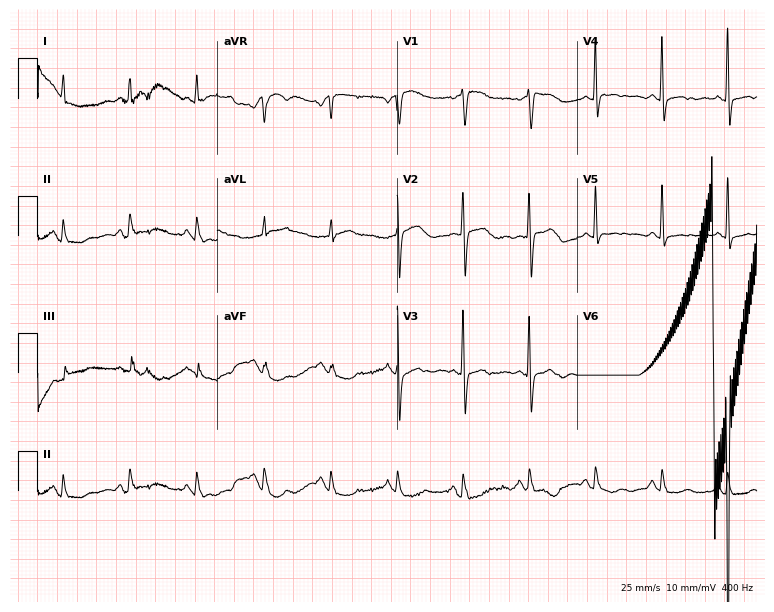
12-lead ECG from a female, 86 years old. No first-degree AV block, right bundle branch block, left bundle branch block, sinus bradycardia, atrial fibrillation or sinus tachycardia recorded for this tracing.